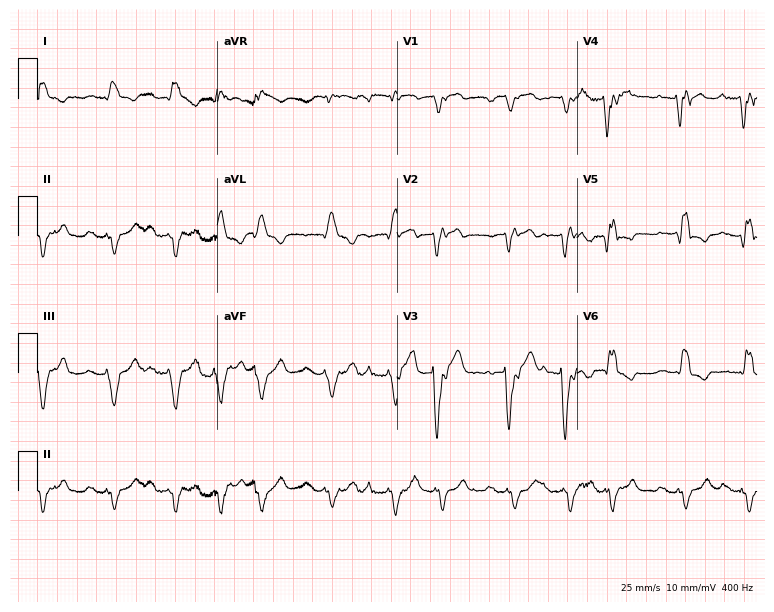
ECG (7.3-second recording at 400 Hz) — a 75-year-old man. Findings include right bundle branch block (RBBB).